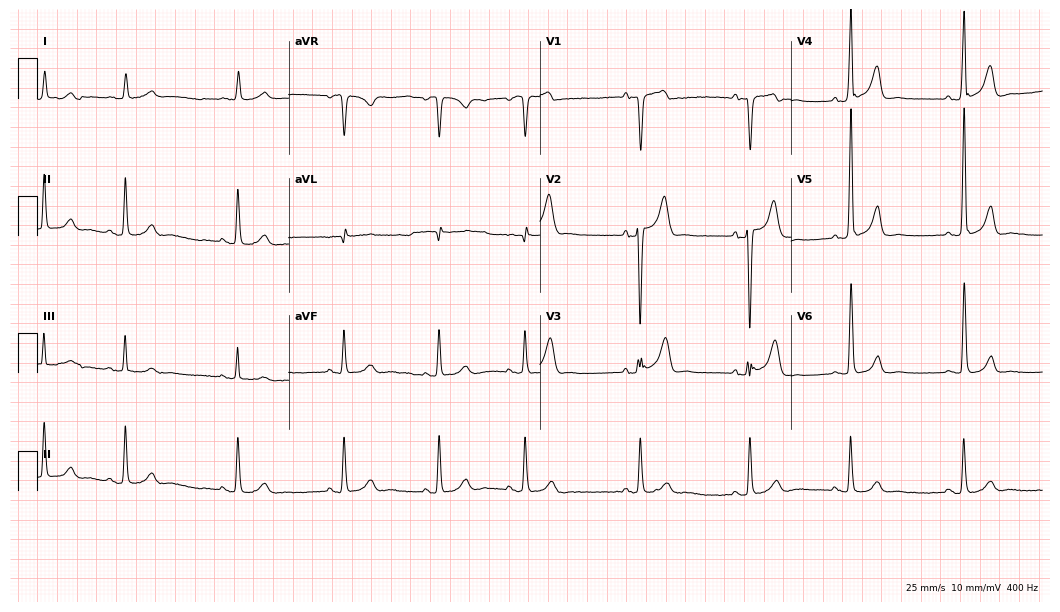
Resting 12-lead electrocardiogram. Patient: a man, 84 years old. None of these six findings is recorded: first-degree AV block, right bundle branch block, left bundle branch block, sinus bradycardia, atrial fibrillation, sinus tachycardia.